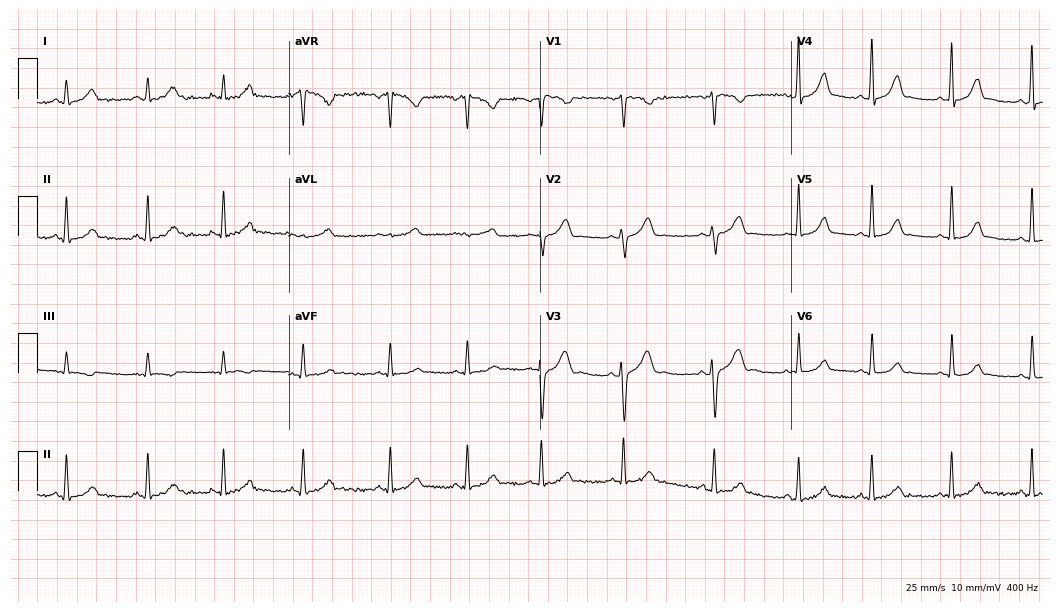
Resting 12-lead electrocardiogram. Patient: a woman, 23 years old. None of these six findings is recorded: first-degree AV block, right bundle branch block, left bundle branch block, sinus bradycardia, atrial fibrillation, sinus tachycardia. Only these six findings were labelled.